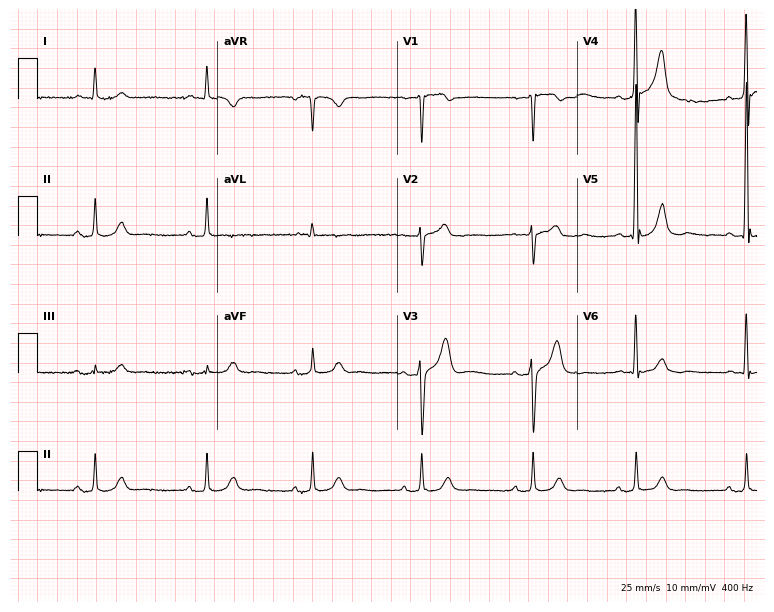
Standard 12-lead ECG recorded from a male patient, 71 years old (7.3-second recording at 400 Hz). None of these six findings is recorded: first-degree AV block, right bundle branch block, left bundle branch block, sinus bradycardia, atrial fibrillation, sinus tachycardia.